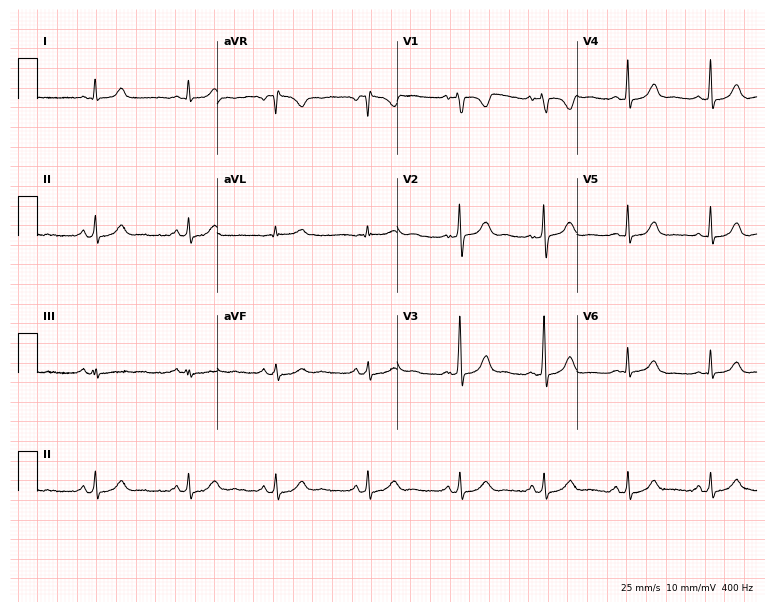
12-lead ECG from a 32-year-old female patient. Labelled as a normal ECG.